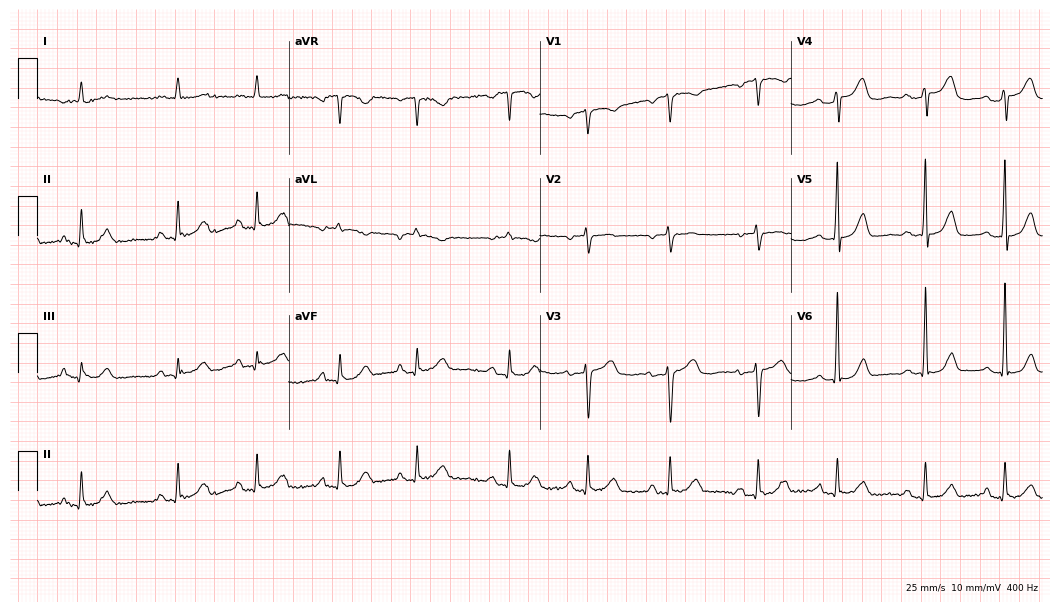
Resting 12-lead electrocardiogram (10.2-second recording at 400 Hz). Patient: an 85-year-old female. None of these six findings is recorded: first-degree AV block, right bundle branch block, left bundle branch block, sinus bradycardia, atrial fibrillation, sinus tachycardia.